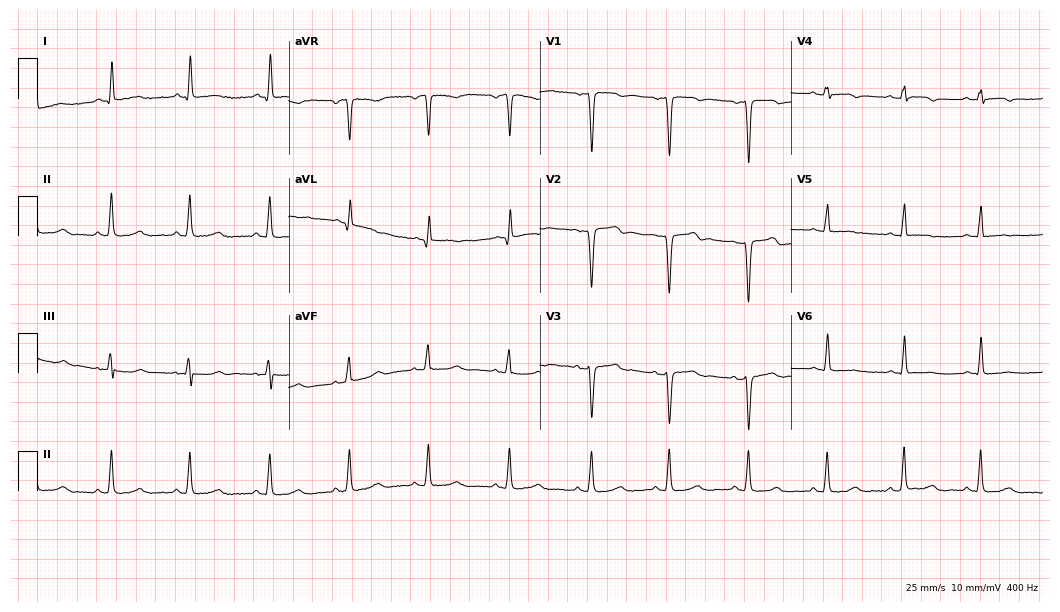
Electrocardiogram (10.2-second recording at 400 Hz), a 59-year-old woman. Of the six screened findings (first-degree AV block, right bundle branch block (RBBB), left bundle branch block (LBBB), sinus bradycardia, atrial fibrillation (AF), sinus tachycardia), none is recorded. Only these six findings were labelled.